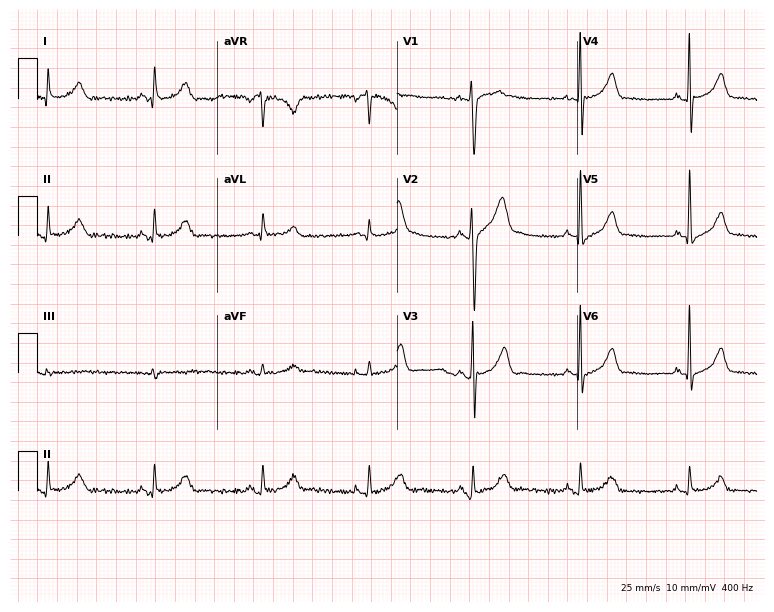
Resting 12-lead electrocardiogram (7.3-second recording at 400 Hz). Patient: a male, 54 years old. Read as a normal ECG.